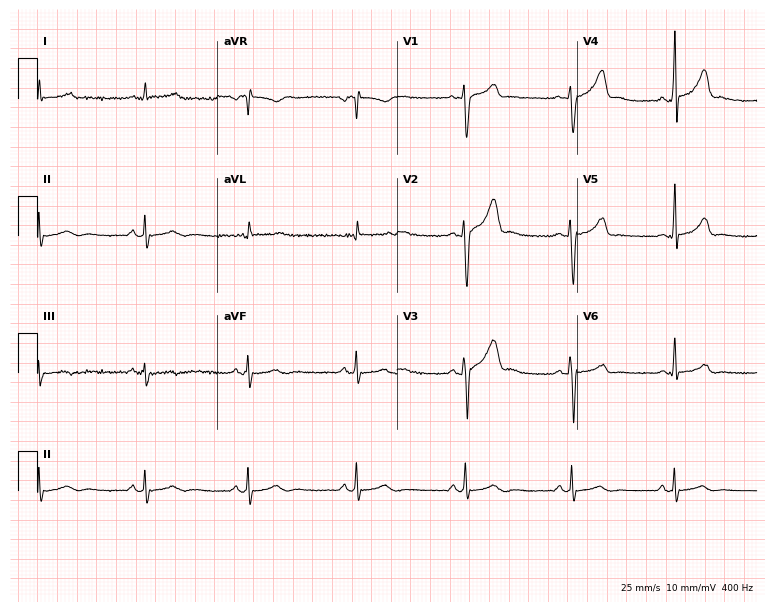
Standard 12-lead ECG recorded from a man, 33 years old (7.3-second recording at 400 Hz). None of these six findings is recorded: first-degree AV block, right bundle branch block, left bundle branch block, sinus bradycardia, atrial fibrillation, sinus tachycardia.